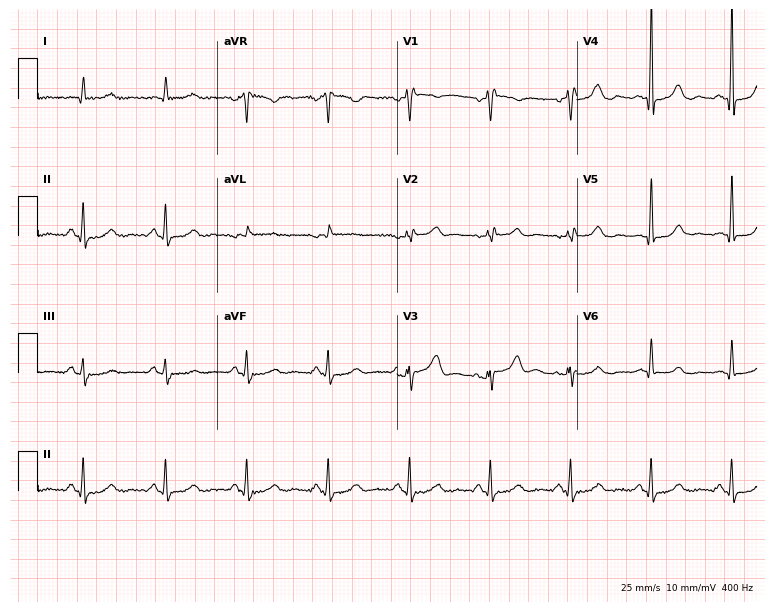
12-lead ECG from a 62-year-old male patient (7.3-second recording at 400 Hz). No first-degree AV block, right bundle branch block (RBBB), left bundle branch block (LBBB), sinus bradycardia, atrial fibrillation (AF) or sinus tachycardia recorded for this tracing. Findings outside these six are not listed.